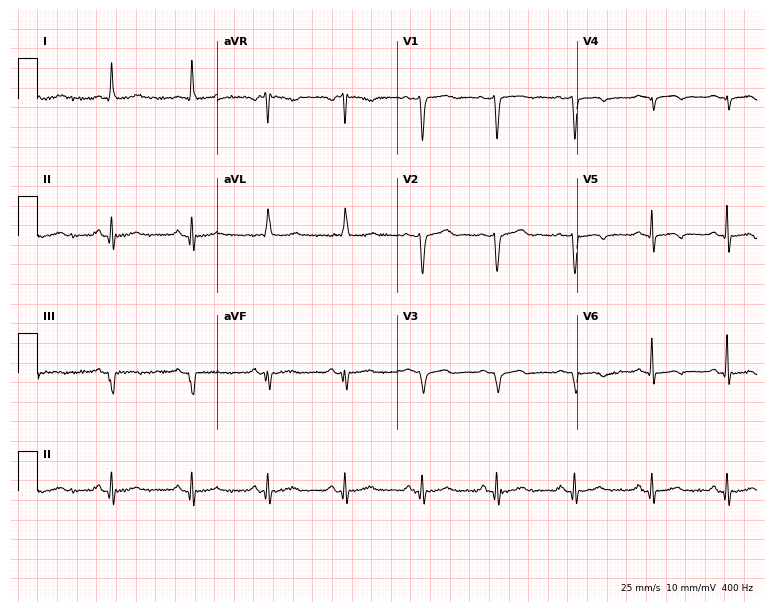
12-lead ECG from a female, 40 years old (7.3-second recording at 400 Hz). No first-degree AV block, right bundle branch block (RBBB), left bundle branch block (LBBB), sinus bradycardia, atrial fibrillation (AF) or sinus tachycardia recorded for this tracing. Other findings, if any, are not listed.